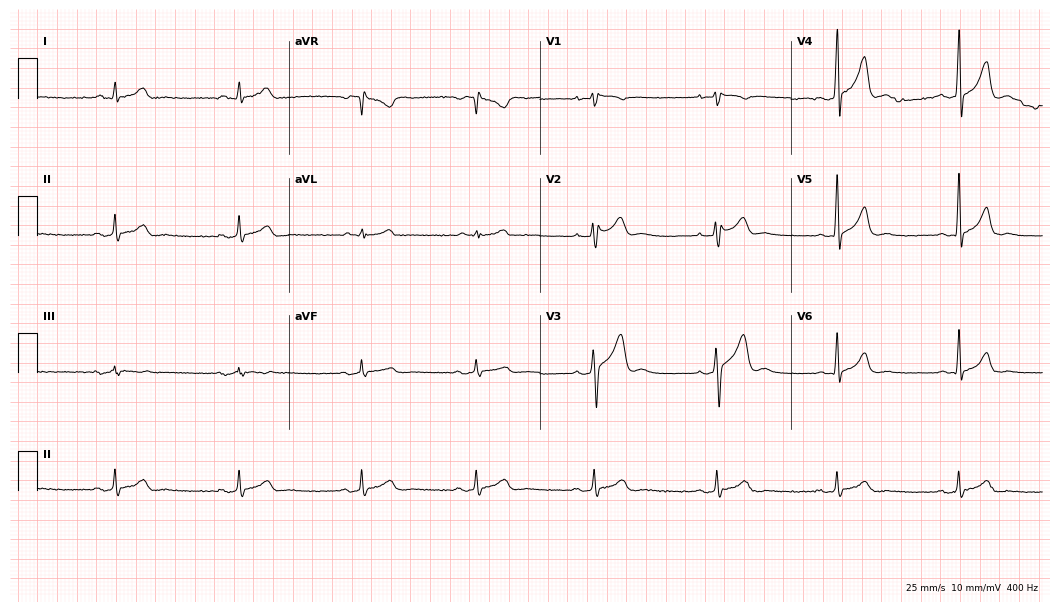
Standard 12-lead ECG recorded from a man, 35 years old (10.2-second recording at 400 Hz). None of these six findings is recorded: first-degree AV block, right bundle branch block (RBBB), left bundle branch block (LBBB), sinus bradycardia, atrial fibrillation (AF), sinus tachycardia.